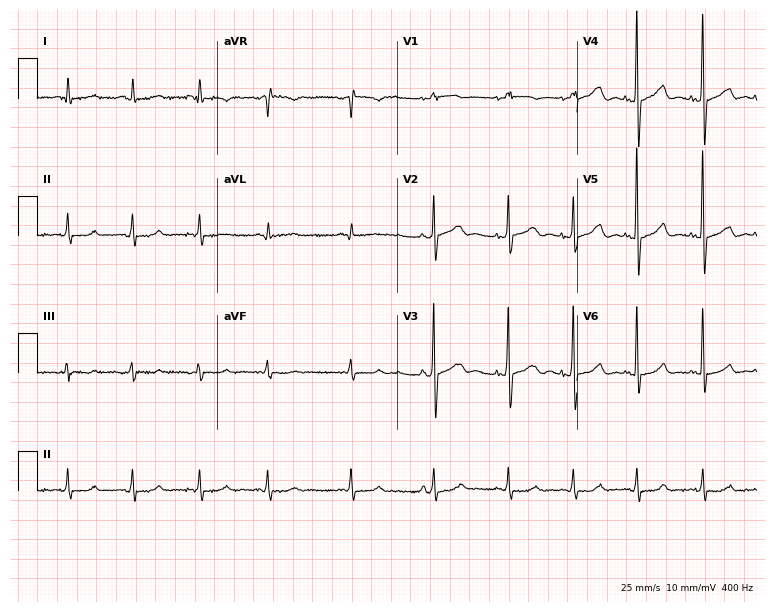
Electrocardiogram (7.3-second recording at 400 Hz), an 81-year-old female. Of the six screened findings (first-degree AV block, right bundle branch block, left bundle branch block, sinus bradycardia, atrial fibrillation, sinus tachycardia), none is recorded. Only these six findings were labelled.